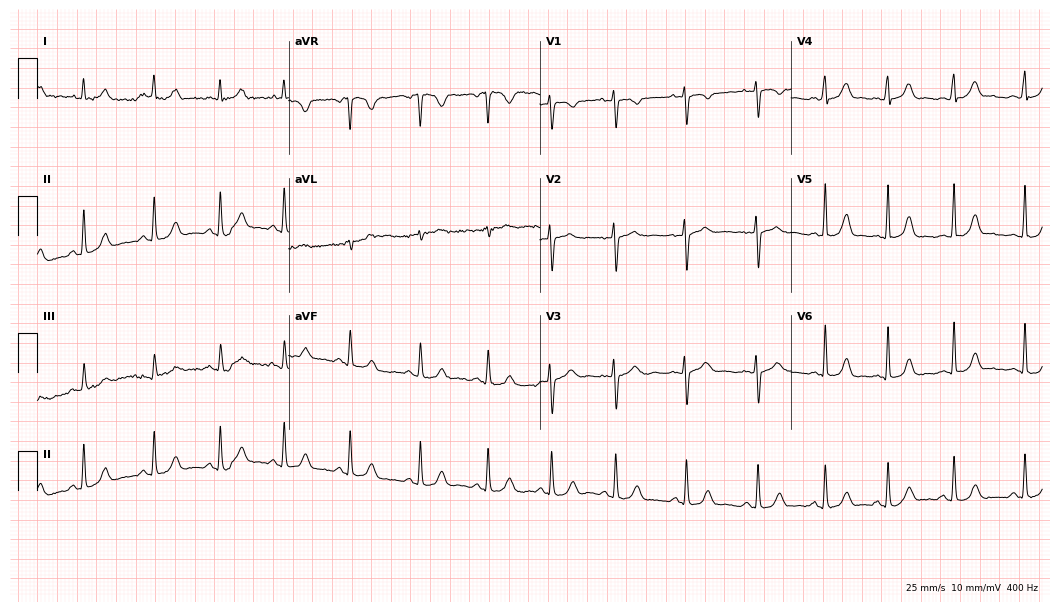
12-lead ECG (10.2-second recording at 400 Hz) from a woman, 28 years old. Labelled as a normal ECG.